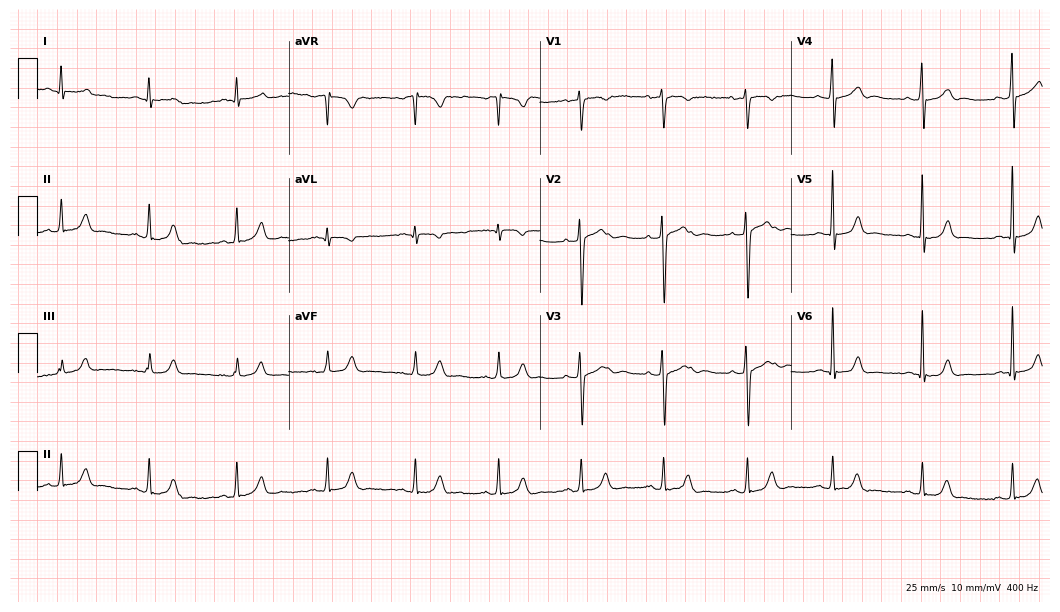
12-lead ECG from a male, 51 years old. Recorded interpretation: within normal limits.